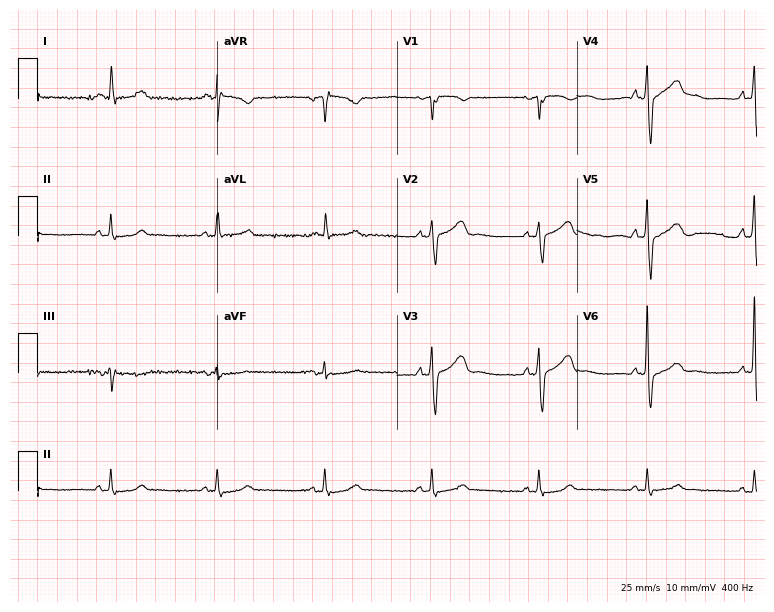
Standard 12-lead ECG recorded from a 74-year-old male. Read as a normal ECG.